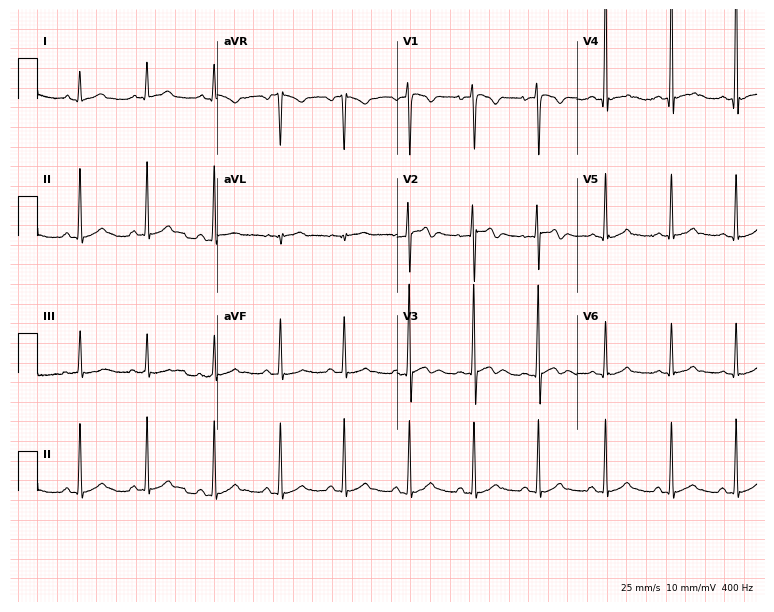
ECG — an 18-year-old male patient. Labelled as a normal ECG.